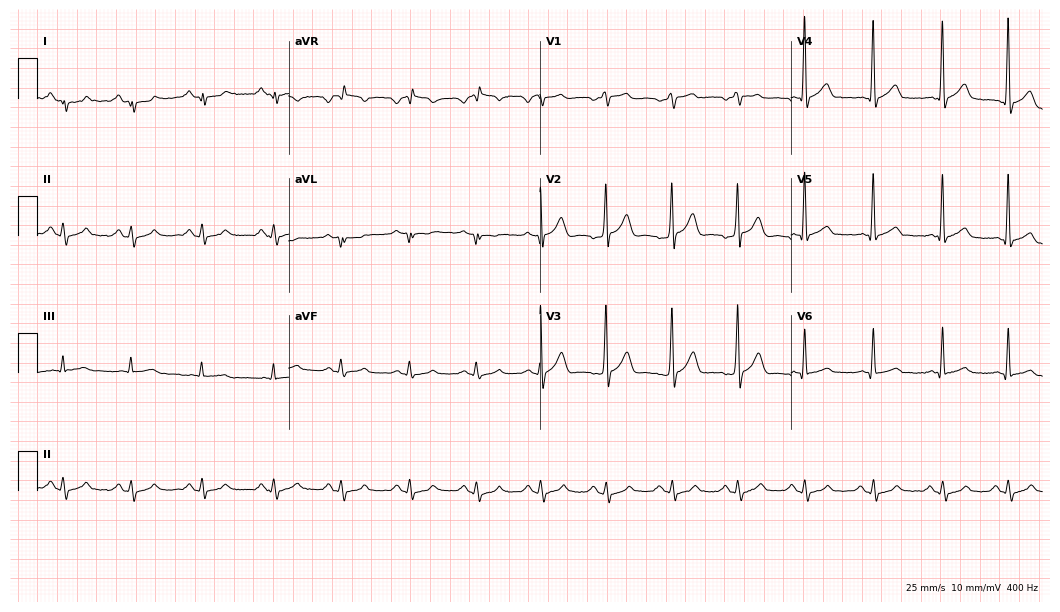
ECG (10.2-second recording at 400 Hz) — a male patient, 45 years old. Labelled as a normal ECG.